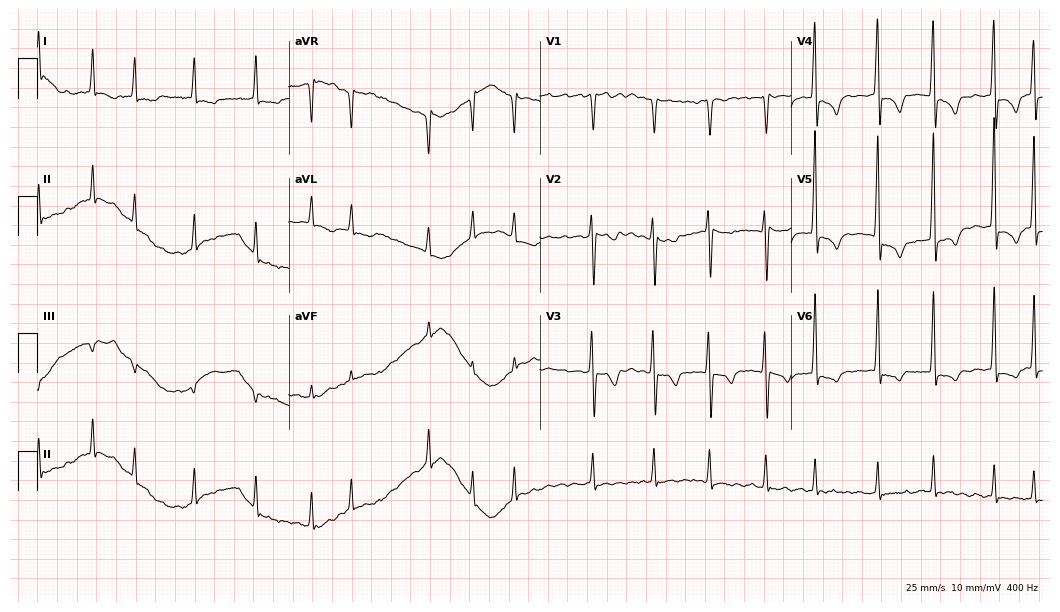
12-lead ECG from a female patient, 82 years old. Findings include atrial fibrillation.